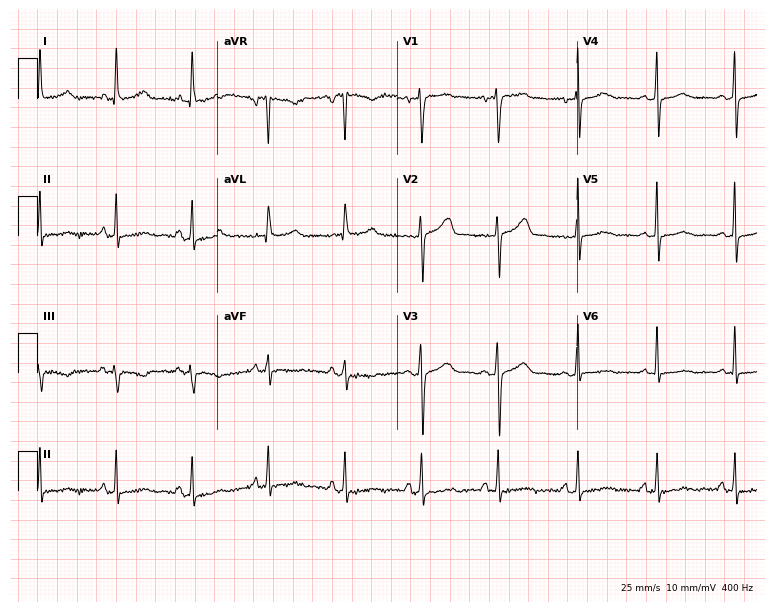
12-lead ECG (7.3-second recording at 400 Hz) from a 30-year-old female patient. Screened for six findings — first-degree AV block, right bundle branch block (RBBB), left bundle branch block (LBBB), sinus bradycardia, atrial fibrillation (AF), sinus tachycardia — none is recorded. Other findings, if any, are not listed.